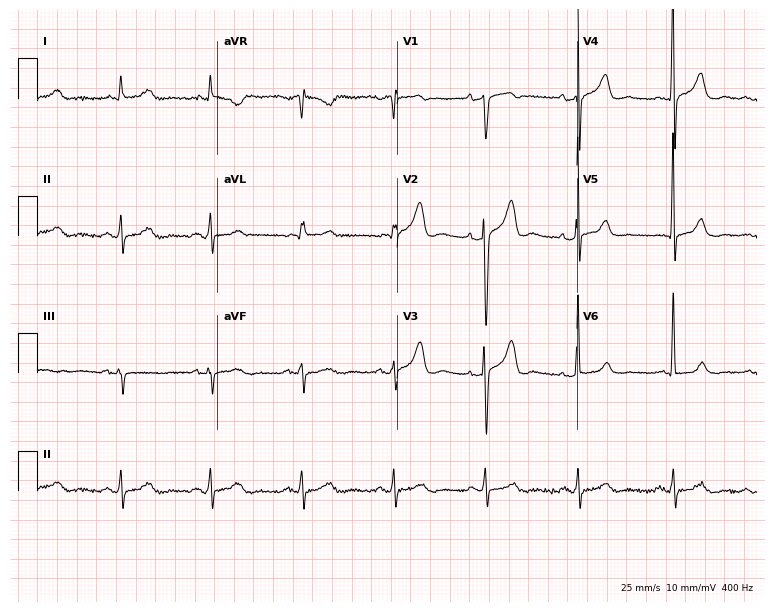
12-lead ECG from a 63-year-old man (7.3-second recording at 400 Hz). No first-degree AV block, right bundle branch block, left bundle branch block, sinus bradycardia, atrial fibrillation or sinus tachycardia recorded for this tracing. Findings outside these six are not listed.